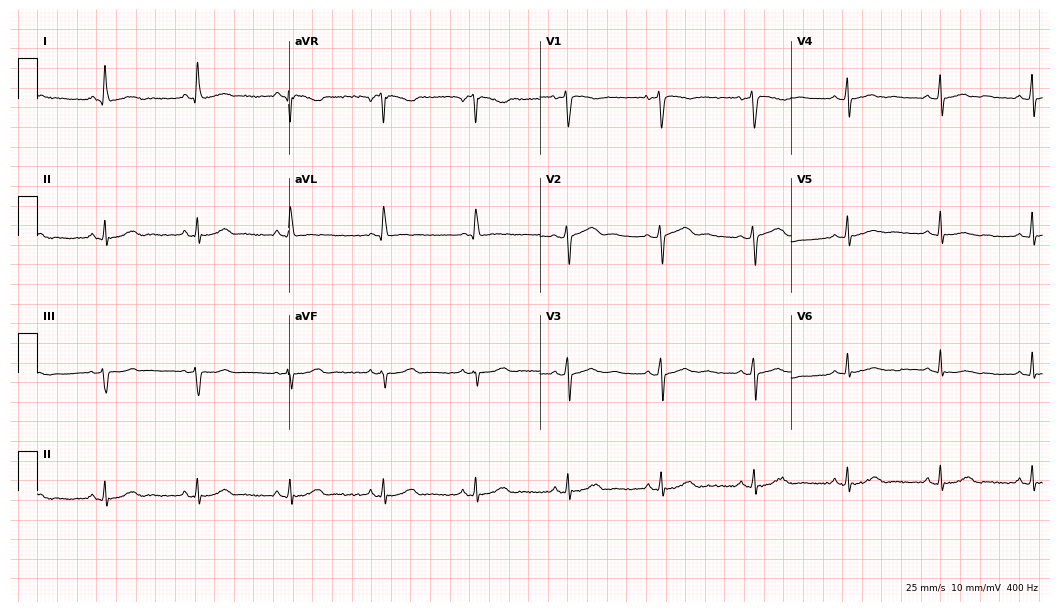
ECG — a 49-year-old female. Screened for six findings — first-degree AV block, right bundle branch block, left bundle branch block, sinus bradycardia, atrial fibrillation, sinus tachycardia — none is recorded.